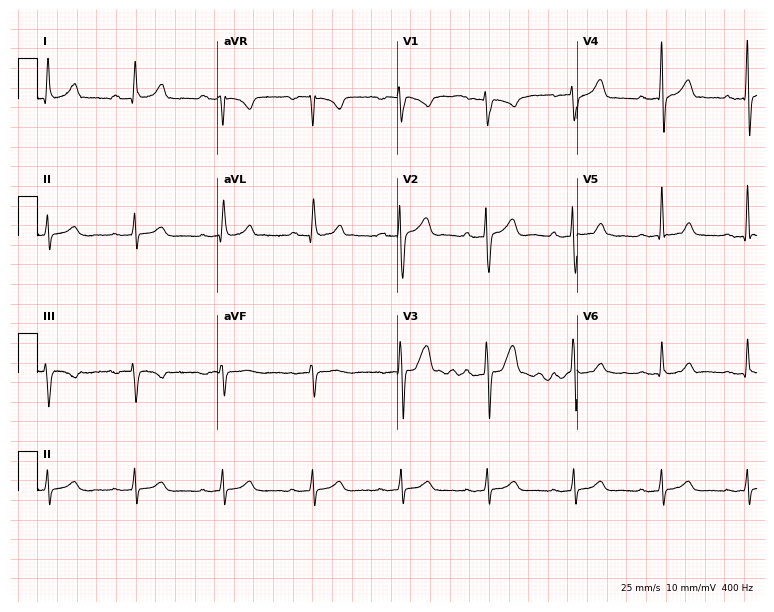
Electrocardiogram (7.3-second recording at 400 Hz), a man, 52 years old. Overall reading on record: normal ECG.